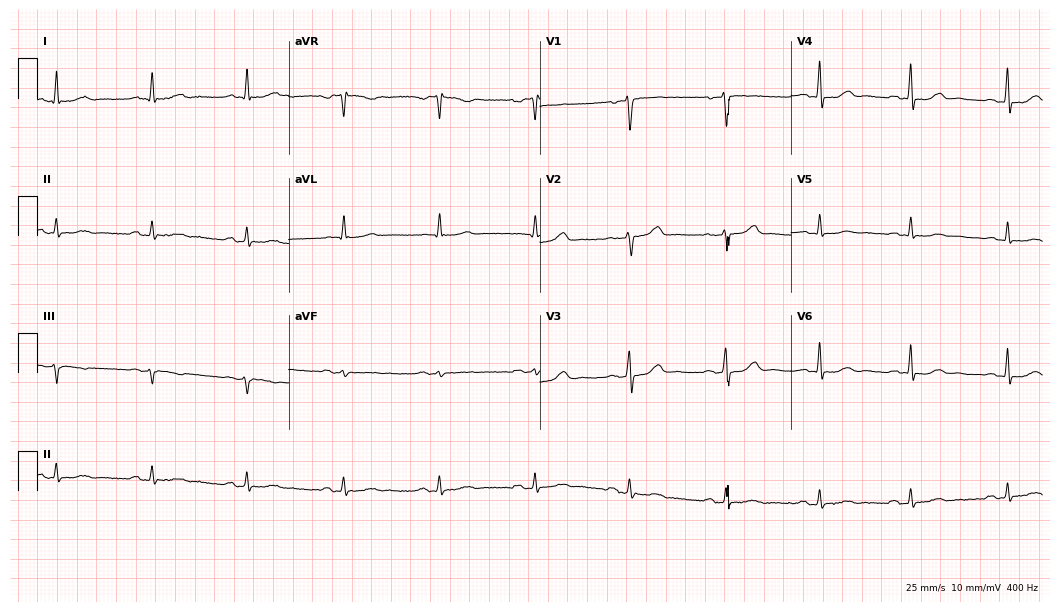
12-lead ECG (10.2-second recording at 400 Hz) from a 51-year-old female patient. Labelled as a normal ECG.